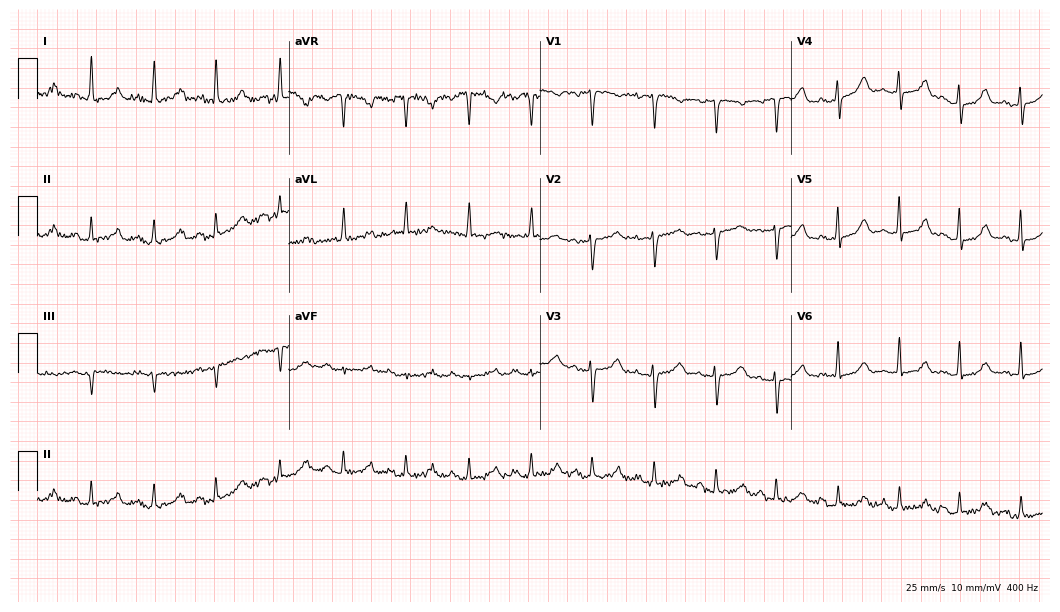
ECG — a female patient, 53 years old. Labelled as a normal ECG.